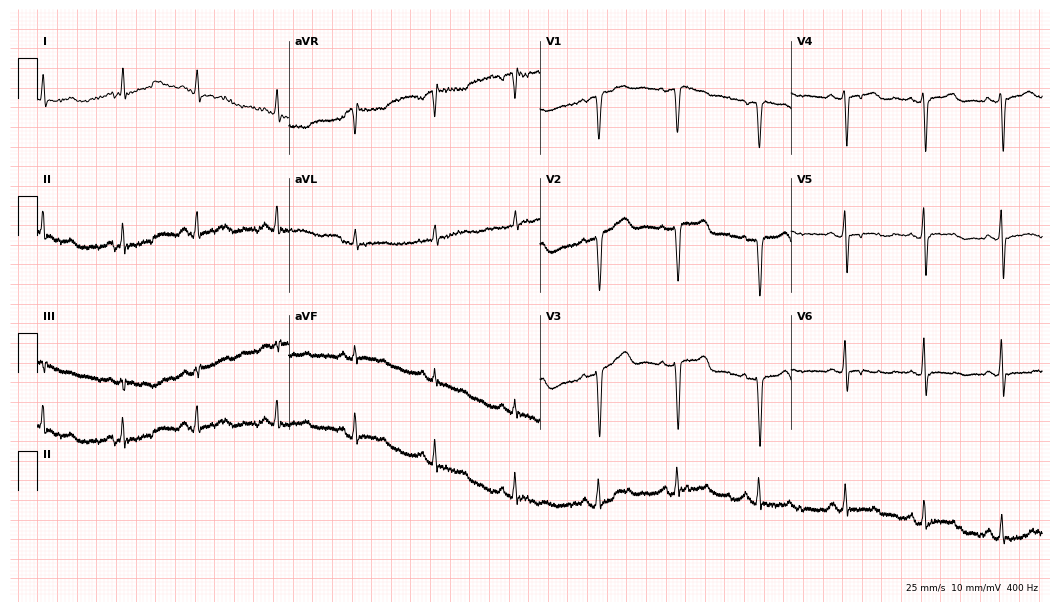
Resting 12-lead electrocardiogram (10.2-second recording at 400 Hz). Patient: a female, 54 years old. None of these six findings is recorded: first-degree AV block, right bundle branch block, left bundle branch block, sinus bradycardia, atrial fibrillation, sinus tachycardia. Findings outside these six are not listed.